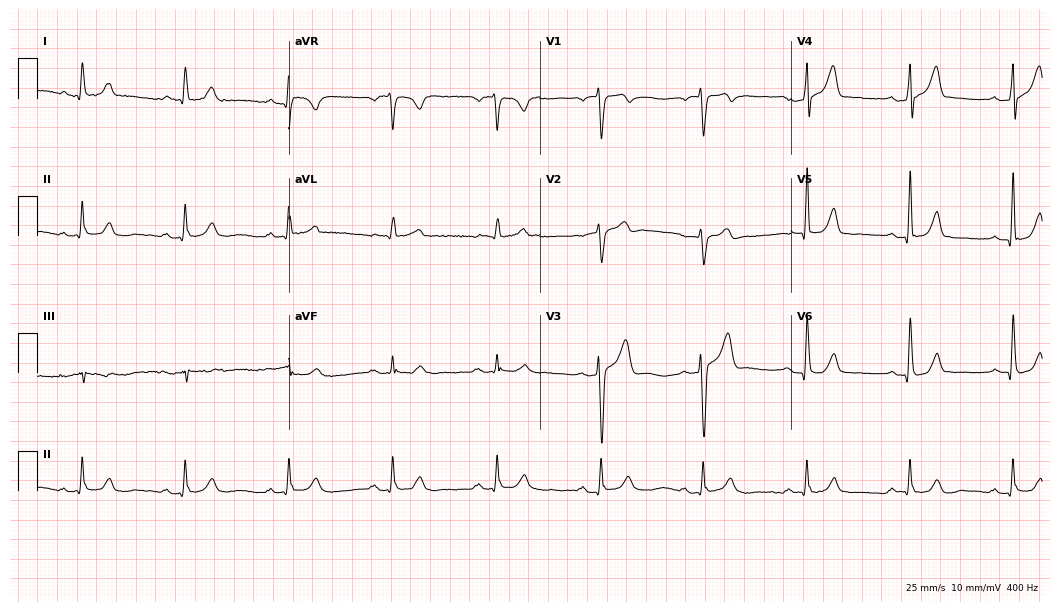
Standard 12-lead ECG recorded from a male patient, 66 years old (10.2-second recording at 400 Hz). Read as a normal ECG.